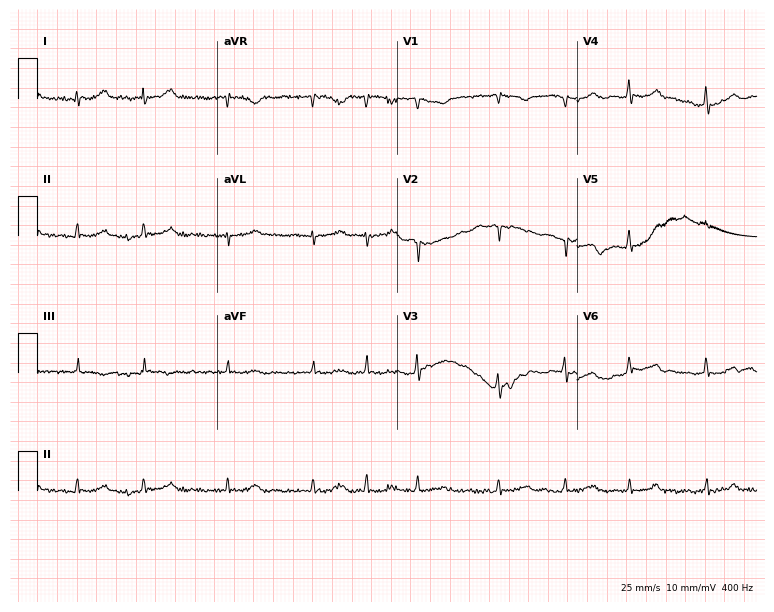
12-lead ECG (7.3-second recording at 400 Hz) from a 76-year-old female. Screened for six findings — first-degree AV block, right bundle branch block, left bundle branch block, sinus bradycardia, atrial fibrillation, sinus tachycardia — none is recorded.